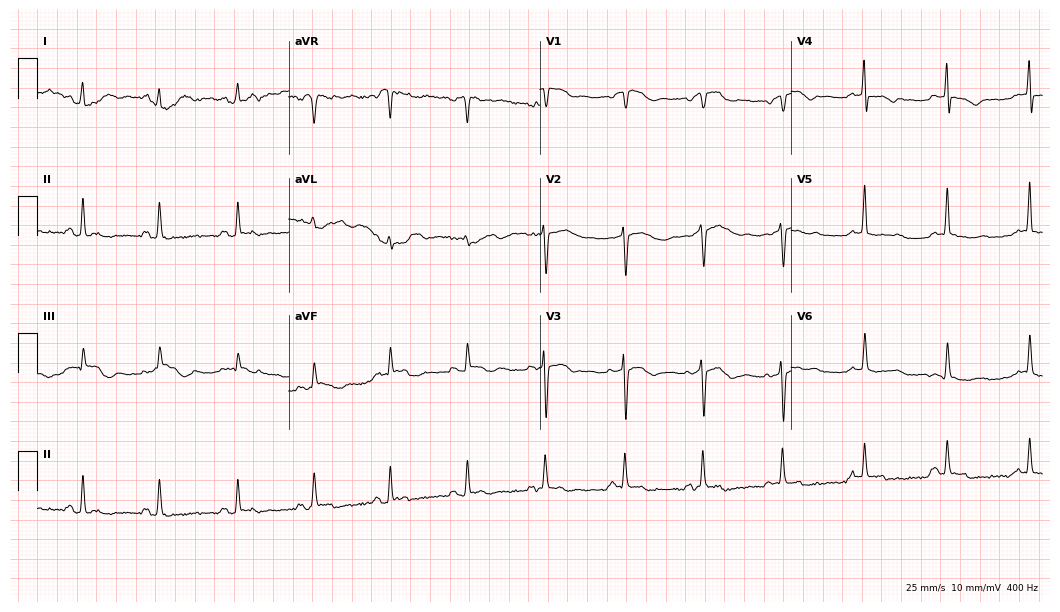
ECG — a female patient, 68 years old. Screened for six findings — first-degree AV block, right bundle branch block (RBBB), left bundle branch block (LBBB), sinus bradycardia, atrial fibrillation (AF), sinus tachycardia — none is recorded. Only these six findings were labelled.